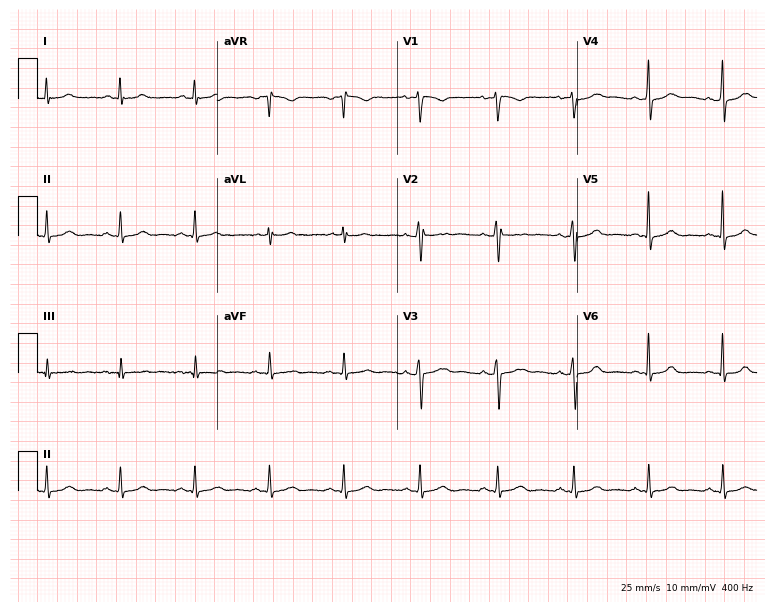
ECG (7.3-second recording at 400 Hz) — a 37-year-old female patient. Screened for six findings — first-degree AV block, right bundle branch block (RBBB), left bundle branch block (LBBB), sinus bradycardia, atrial fibrillation (AF), sinus tachycardia — none is recorded. Only these six findings were labelled.